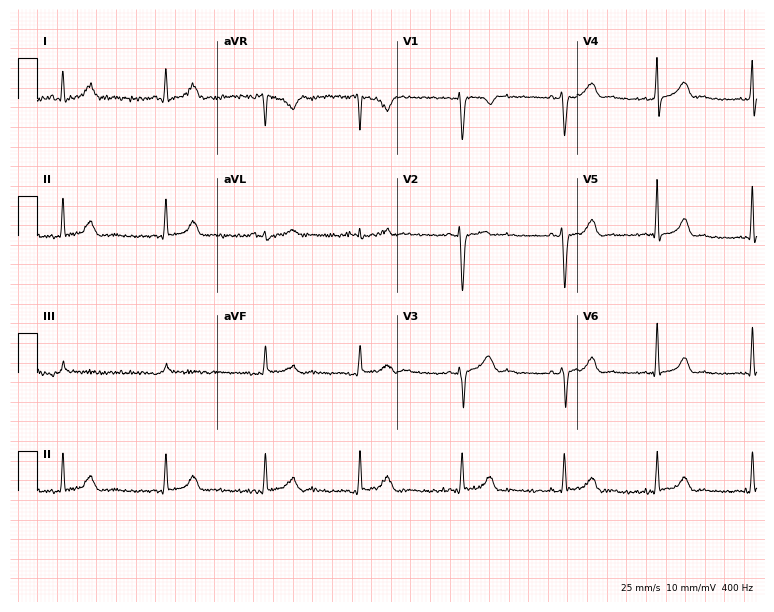
ECG — a woman, 40 years old. Screened for six findings — first-degree AV block, right bundle branch block (RBBB), left bundle branch block (LBBB), sinus bradycardia, atrial fibrillation (AF), sinus tachycardia — none is recorded. Only these six findings were labelled.